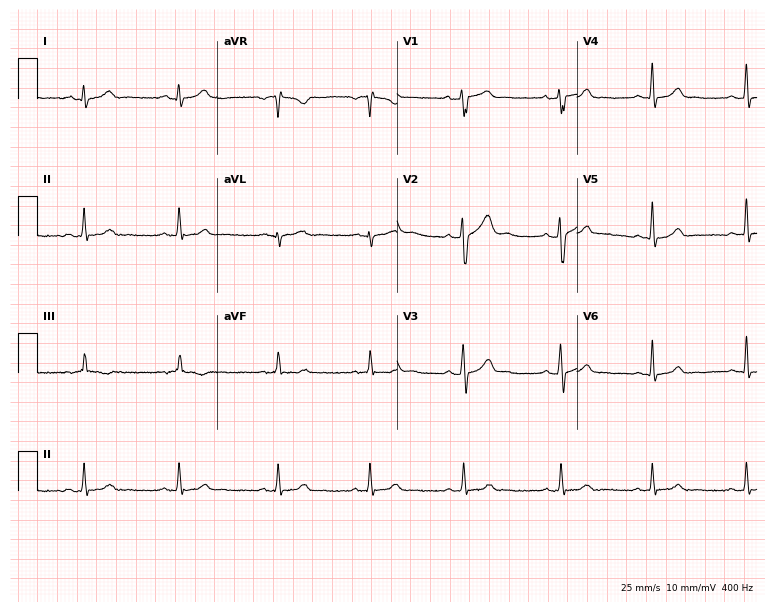
Standard 12-lead ECG recorded from a male, 28 years old (7.3-second recording at 400 Hz). Read as a normal ECG.